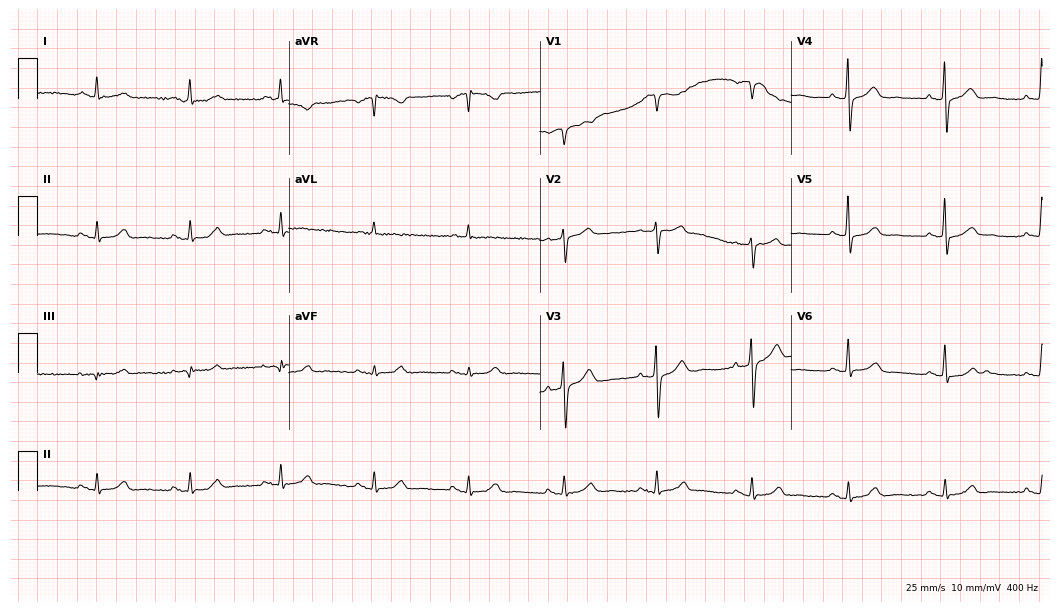
Resting 12-lead electrocardiogram. Patient: a 78-year-old male. None of these six findings is recorded: first-degree AV block, right bundle branch block, left bundle branch block, sinus bradycardia, atrial fibrillation, sinus tachycardia. Only these six findings were labelled.